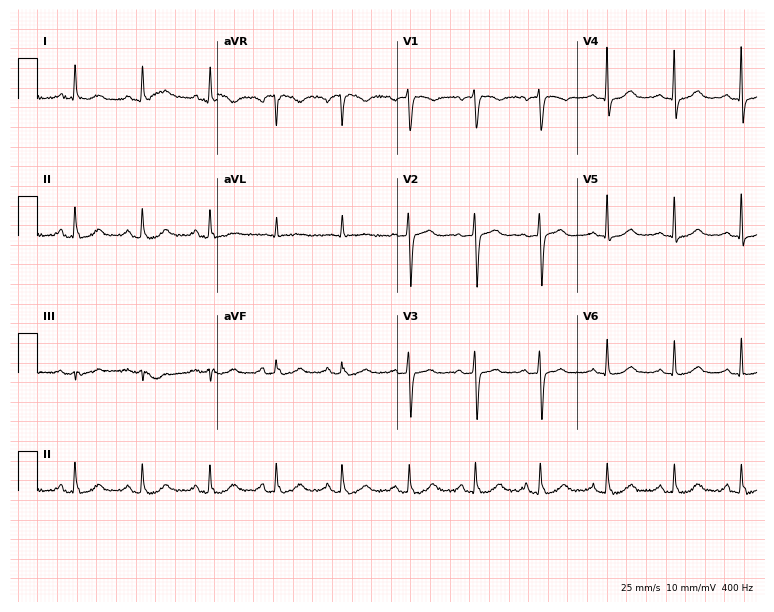
Resting 12-lead electrocardiogram. Patient: a female, 81 years old. Read as a normal ECG.